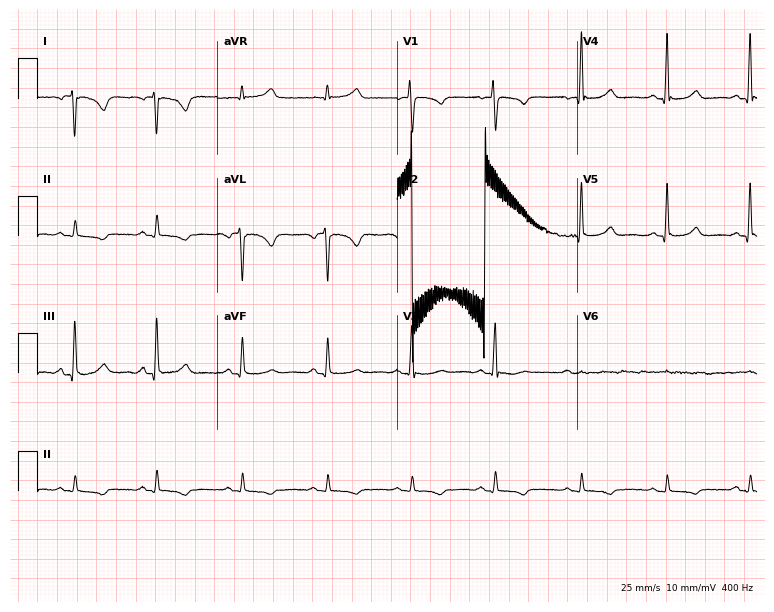
Standard 12-lead ECG recorded from a 69-year-old female. None of these six findings is recorded: first-degree AV block, right bundle branch block, left bundle branch block, sinus bradycardia, atrial fibrillation, sinus tachycardia. Only these six findings were labelled.